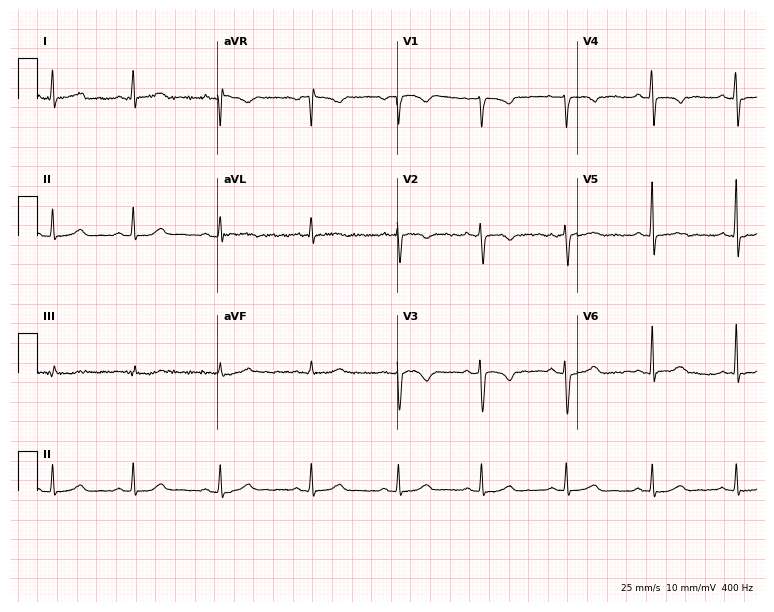
12-lead ECG from a female patient, 44 years old (7.3-second recording at 400 Hz). No first-degree AV block, right bundle branch block (RBBB), left bundle branch block (LBBB), sinus bradycardia, atrial fibrillation (AF) or sinus tachycardia recorded for this tracing.